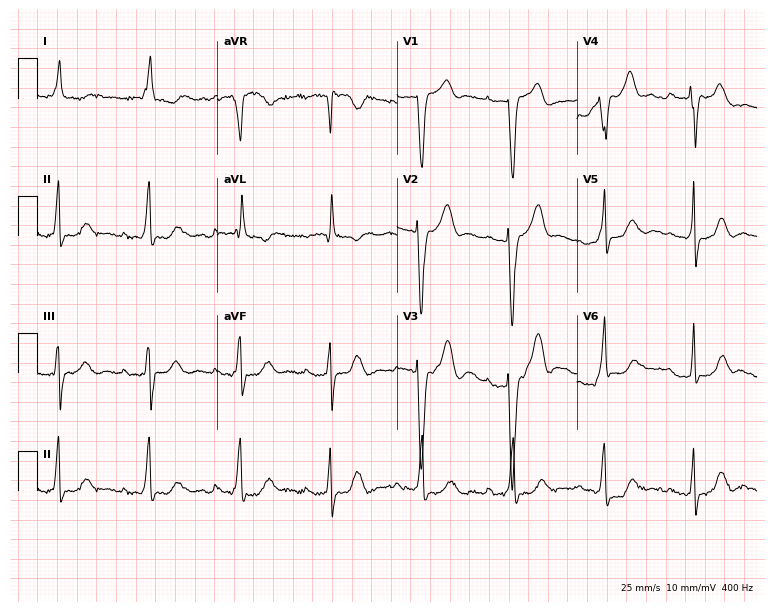
Standard 12-lead ECG recorded from a 78-year-old female patient (7.3-second recording at 400 Hz). None of these six findings is recorded: first-degree AV block, right bundle branch block (RBBB), left bundle branch block (LBBB), sinus bradycardia, atrial fibrillation (AF), sinus tachycardia. Findings outside these six are not listed.